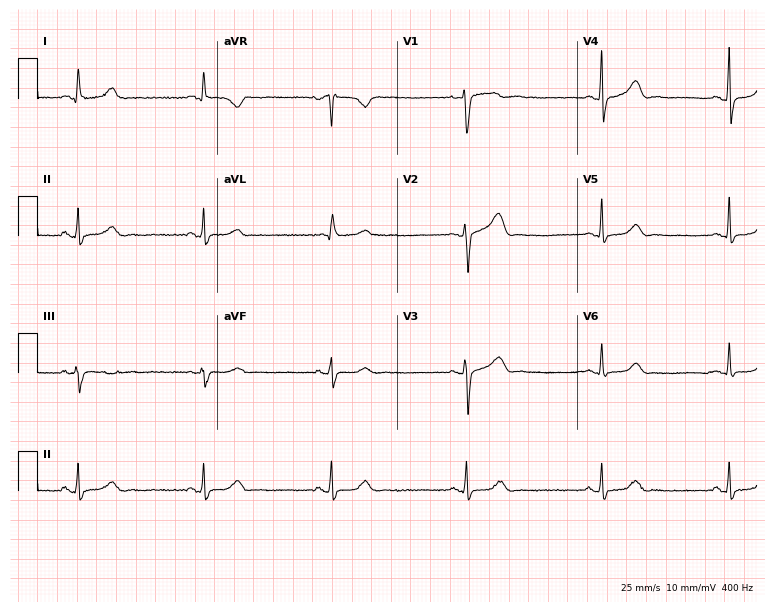
12-lead ECG from a female patient, 35 years old (7.3-second recording at 400 Hz). No first-degree AV block, right bundle branch block, left bundle branch block, sinus bradycardia, atrial fibrillation or sinus tachycardia recorded for this tracing.